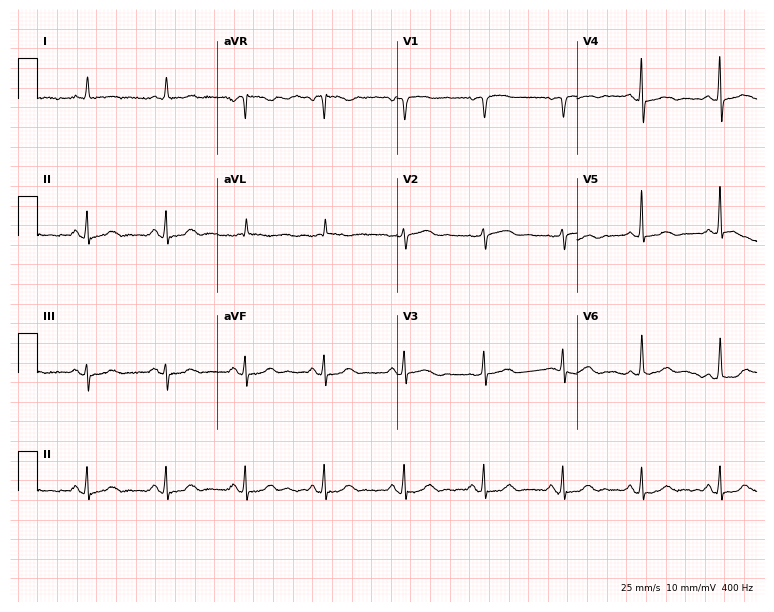
Resting 12-lead electrocardiogram (7.3-second recording at 400 Hz). Patient: a 77-year-old female. None of these six findings is recorded: first-degree AV block, right bundle branch block (RBBB), left bundle branch block (LBBB), sinus bradycardia, atrial fibrillation (AF), sinus tachycardia.